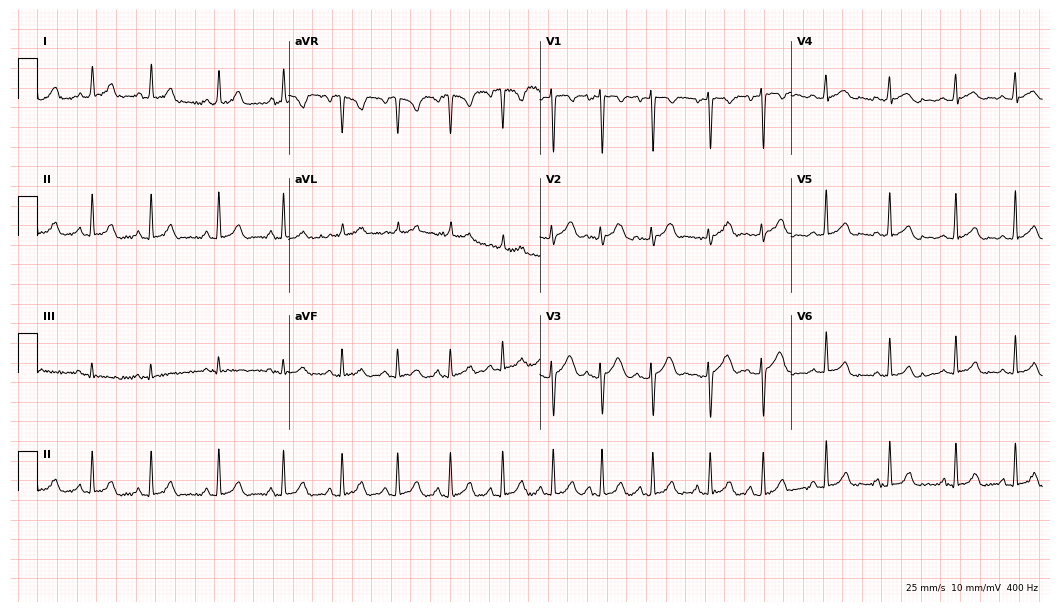
12-lead ECG from a 17-year-old woman (10.2-second recording at 400 Hz). Shows sinus tachycardia (a sinus rate of 100 beats per minute or more).